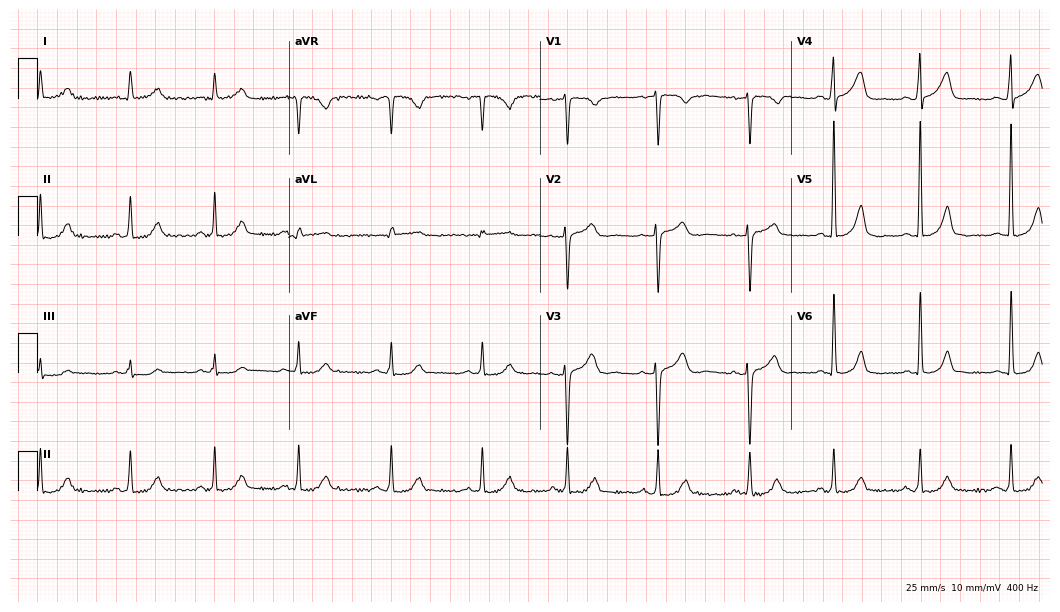
Resting 12-lead electrocardiogram. Patient: a female, 39 years old. None of these six findings is recorded: first-degree AV block, right bundle branch block, left bundle branch block, sinus bradycardia, atrial fibrillation, sinus tachycardia.